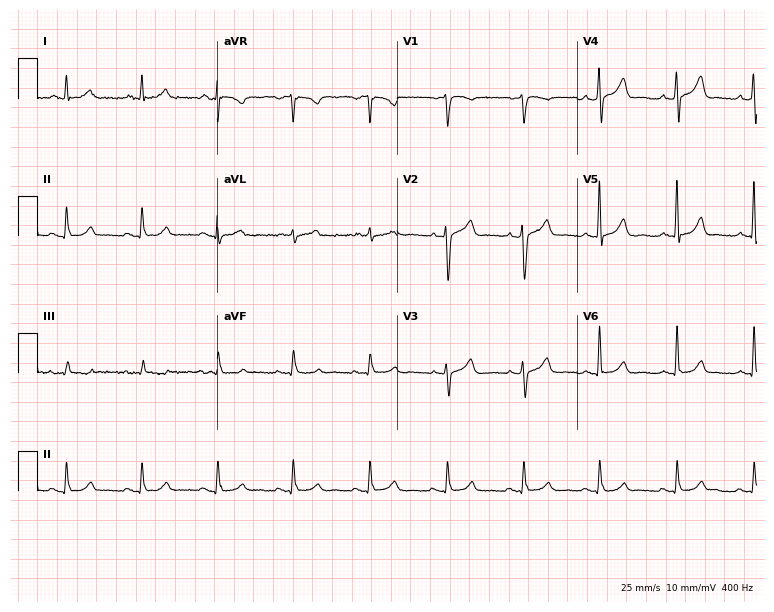
12-lead ECG from a 53-year-old male. Recorded interpretation: within normal limits.